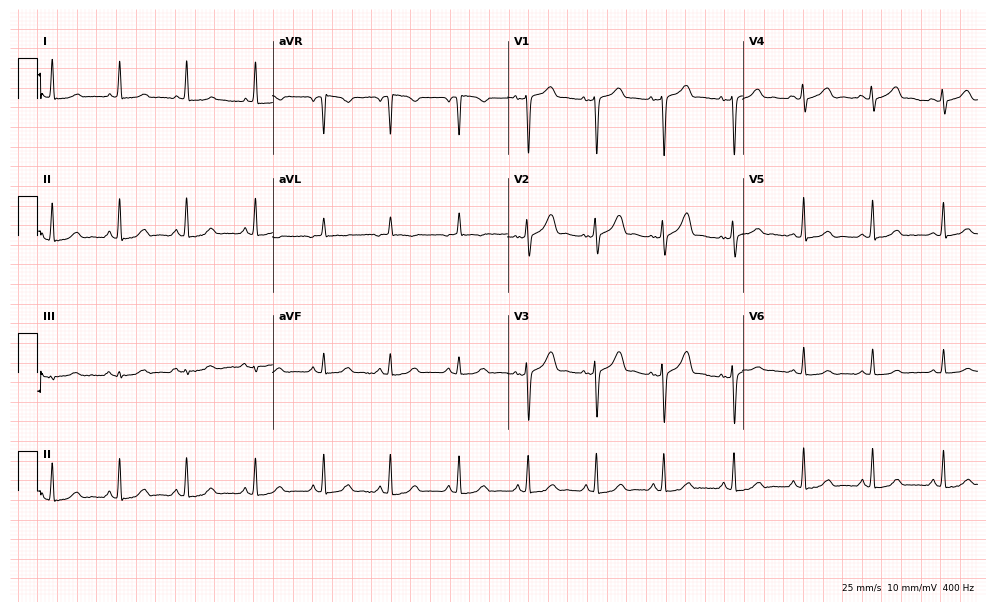
12-lead ECG from a 36-year-old female (9.6-second recording at 400 Hz). Recorded interpretation: within normal limits.